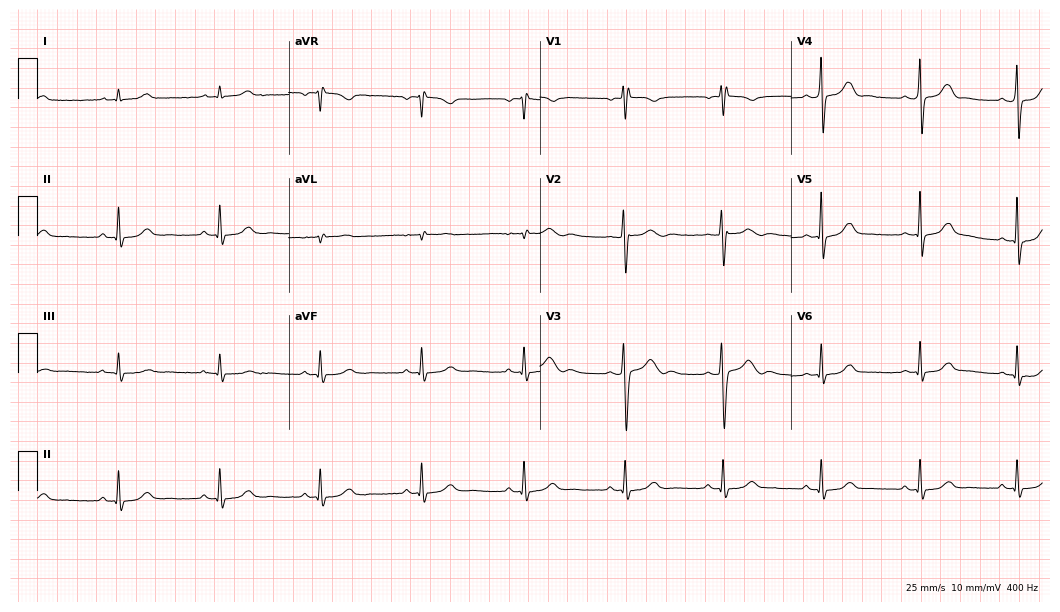
12-lead ECG from a 25-year-old female (10.2-second recording at 400 Hz). Recorded interpretation: within normal limits.